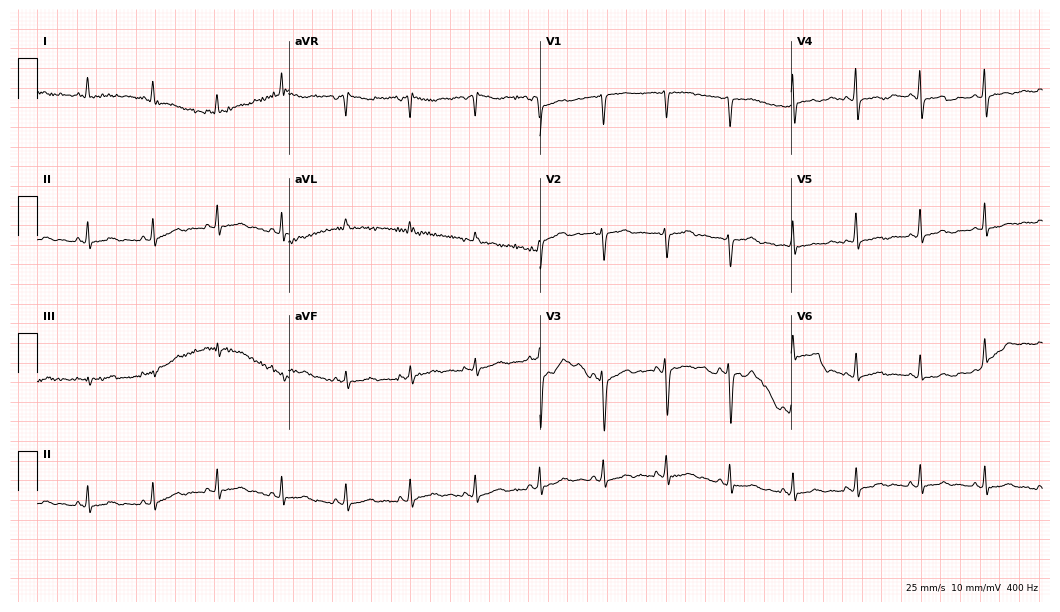
Electrocardiogram, a woman, 50 years old. Of the six screened findings (first-degree AV block, right bundle branch block (RBBB), left bundle branch block (LBBB), sinus bradycardia, atrial fibrillation (AF), sinus tachycardia), none is recorded.